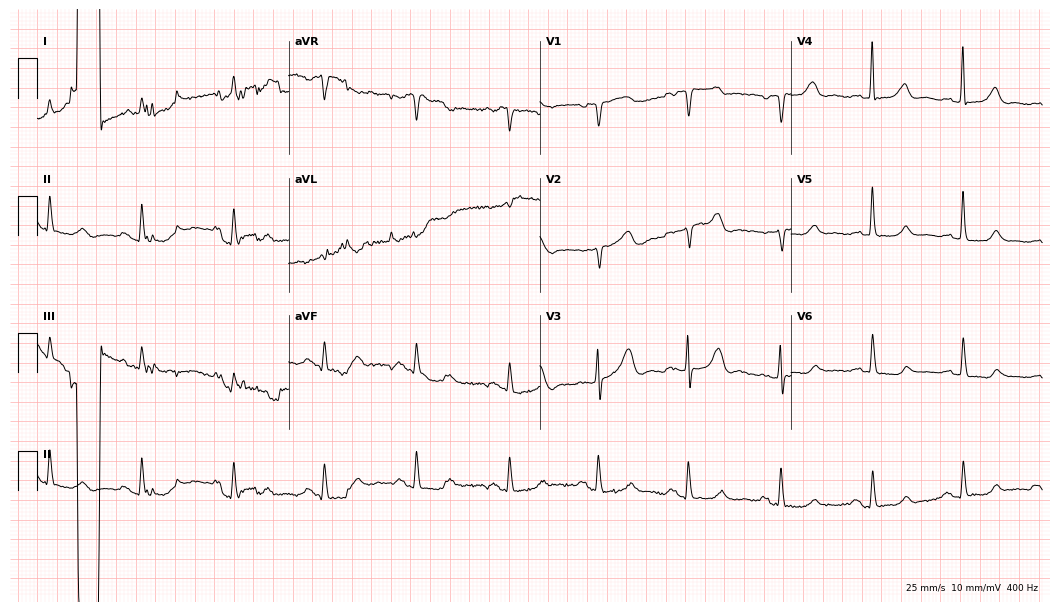
12-lead ECG from an 80-year-old female patient. No first-degree AV block, right bundle branch block (RBBB), left bundle branch block (LBBB), sinus bradycardia, atrial fibrillation (AF) or sinus tachycardia recorded for this tracing. Findings outside these six are not listed.